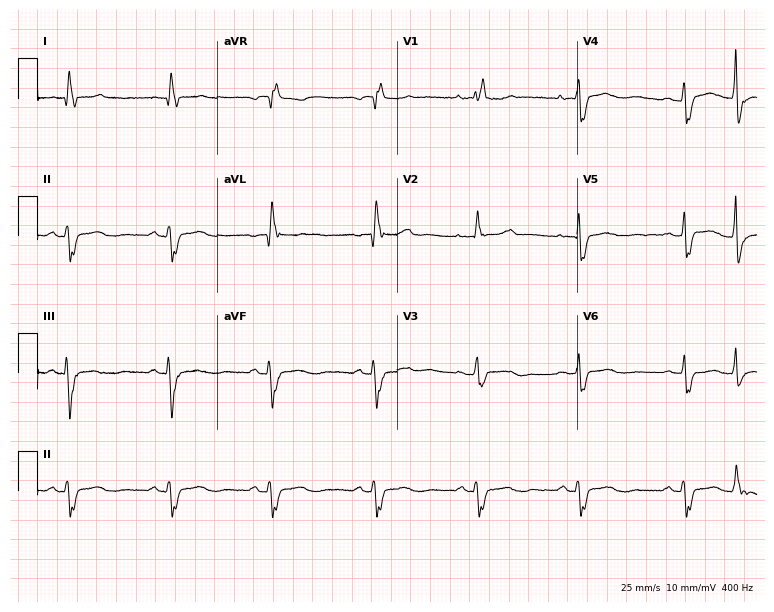
ECG — a female, 47 years old. Findings include right bundle branch block.